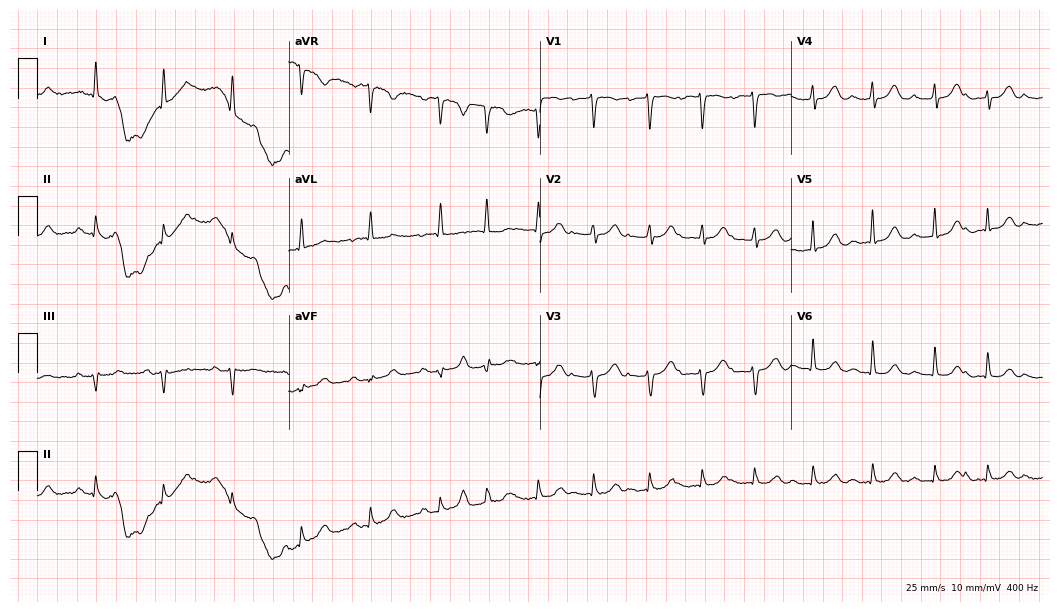
12-lead ECG from a female, 78 years old (10.2-second recording at 400 Hz). No first-degree AV block, right bundle branch block (RBBB), left bundle branch block (LBBB), sinus bradycardia, atrial fibrillation (AF) or sinus tachycardia recorded for this tracing.